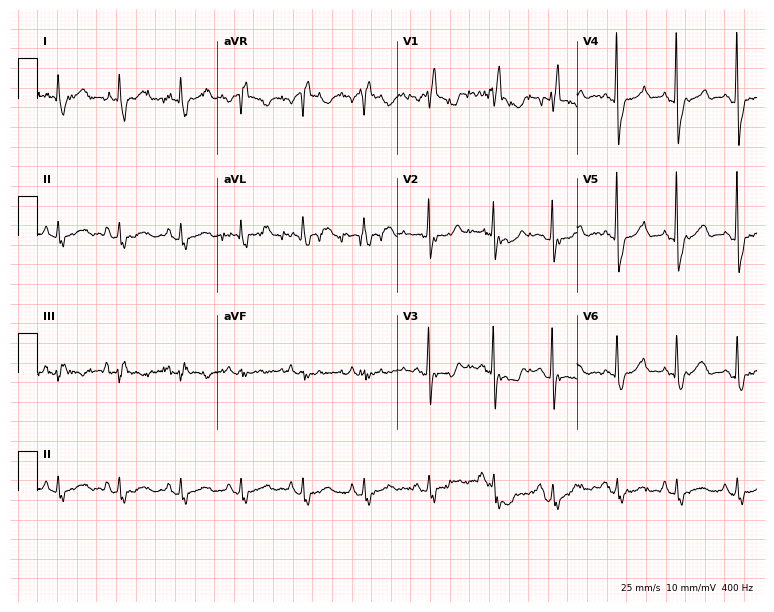
ECG — a woman, 84 years old. Findings include right bundle branch block.